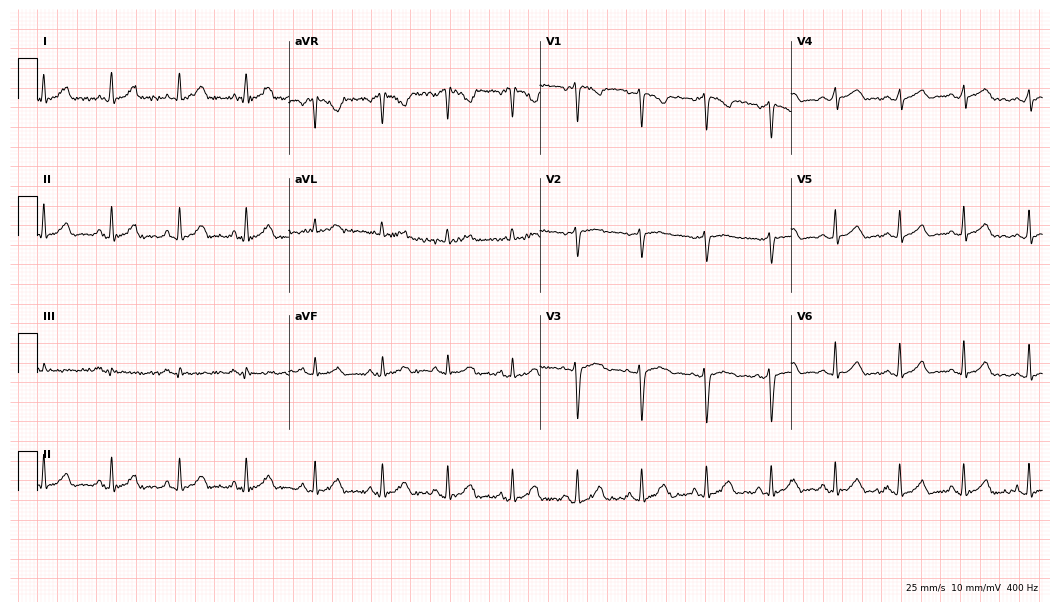
Standard 12-lead ECG recorded from a 27-year-old woman. None of these six findings is recorded: first-degree AV block, right bundle branch block, left bundle branch block, sinus bradycardia, atrial fibrillation, sinus tachycardia.